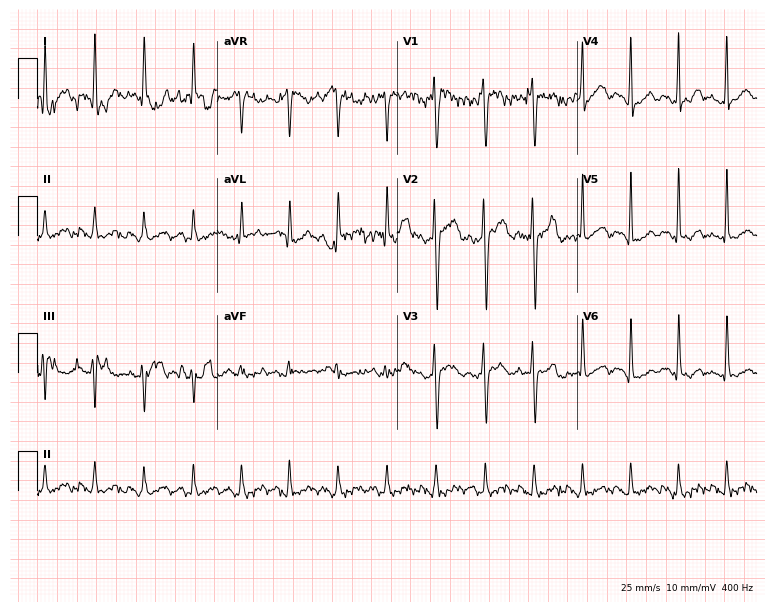
12-lead ECG from a man, 30 years old (7.3-second recording at 400 Hz). No first-degree AV block, right bundle branch block, left bundle branch block, sinus bradycardia, atrial fibrillation or sinus tachycardia recorded for this tracing.